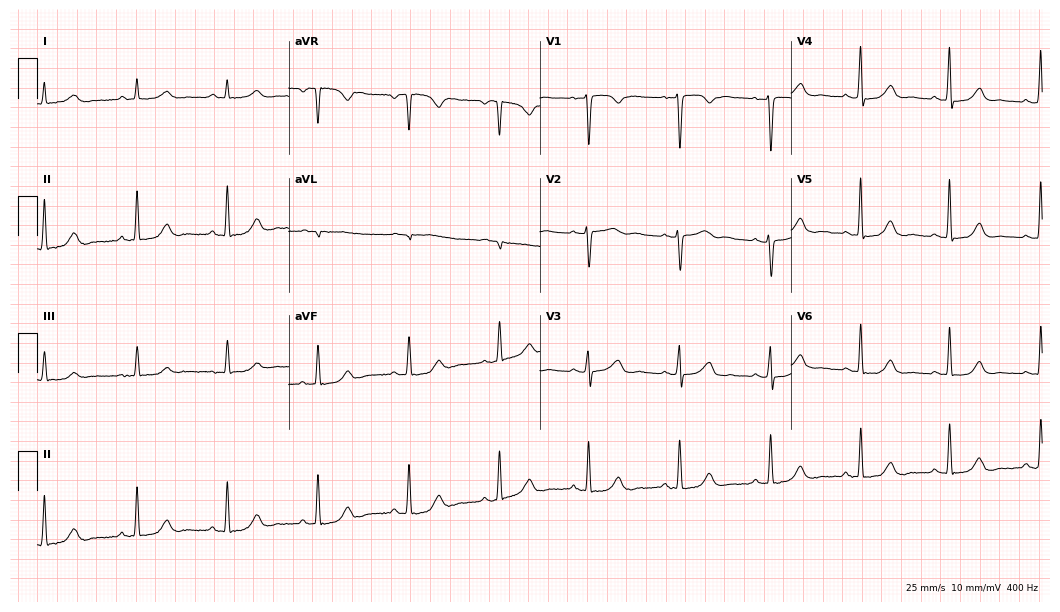
Resting 12-lead electrocardiogram. Patient: a 54-year-old female. None of these six findings is recorded: first-degree AV block, right bundle branch block, left bundle branch block, sinus bradycardia, atrial fibrillation, sinus tachycardia.